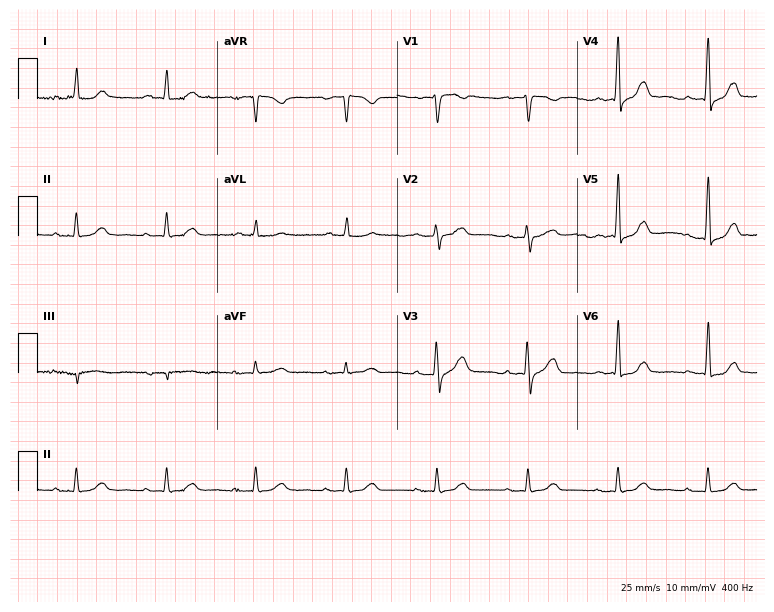
12-lead ECG from a male patient, 81 years old. Recorded interpretation: within normal limits.